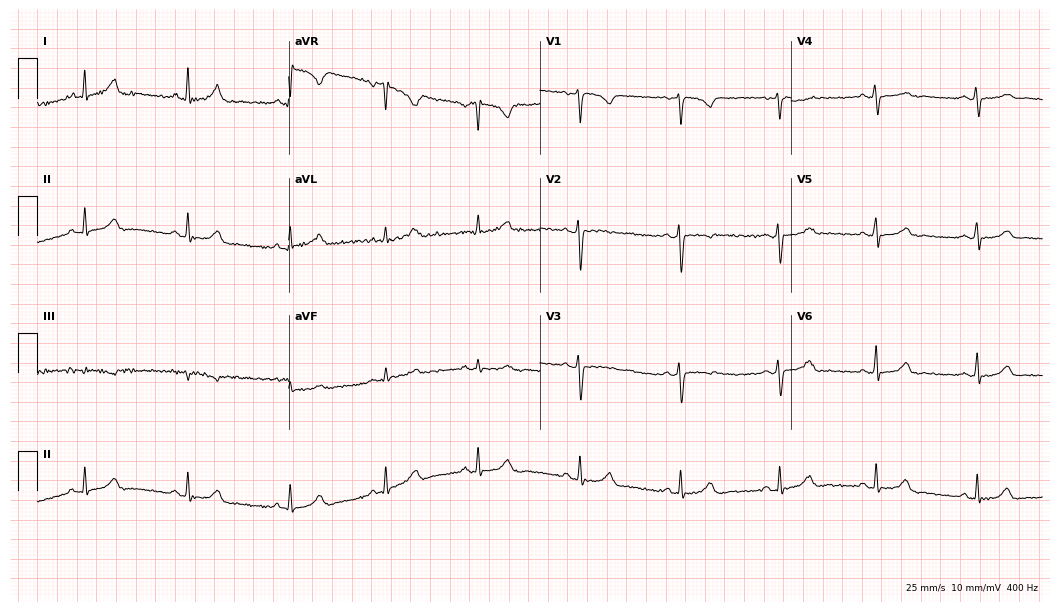
ECG — a 32-year-old woman. Labelled as a normal ECG.